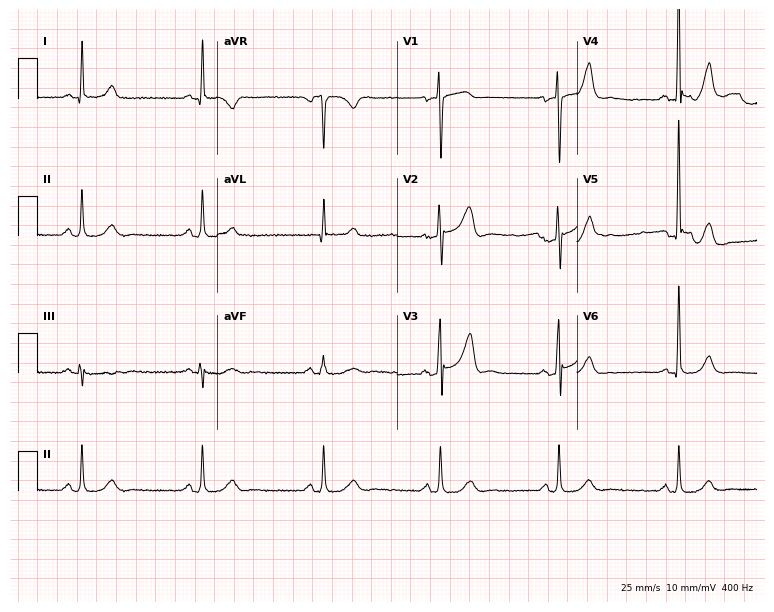
12-lead ECG (7.3-second recording at 400 Hz) from a 69-year-old male. Screened for six findings — first-degree AV block, right bundle branch block, left bundle branch block, sinus bradycardia, atrial fibrillation, sinus tachycardia — none is recorded. Findings outside these six are not listed.